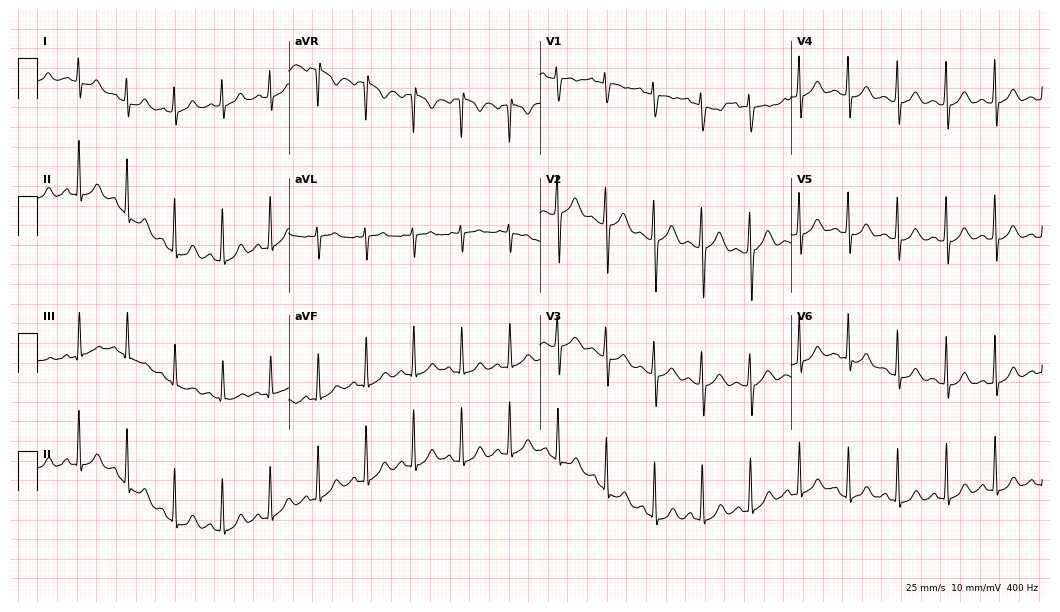
12-lead ECG from an 18-year-old female patient. Shows sinus tachycardia (a sinus rate of 100 beats per minute or more).